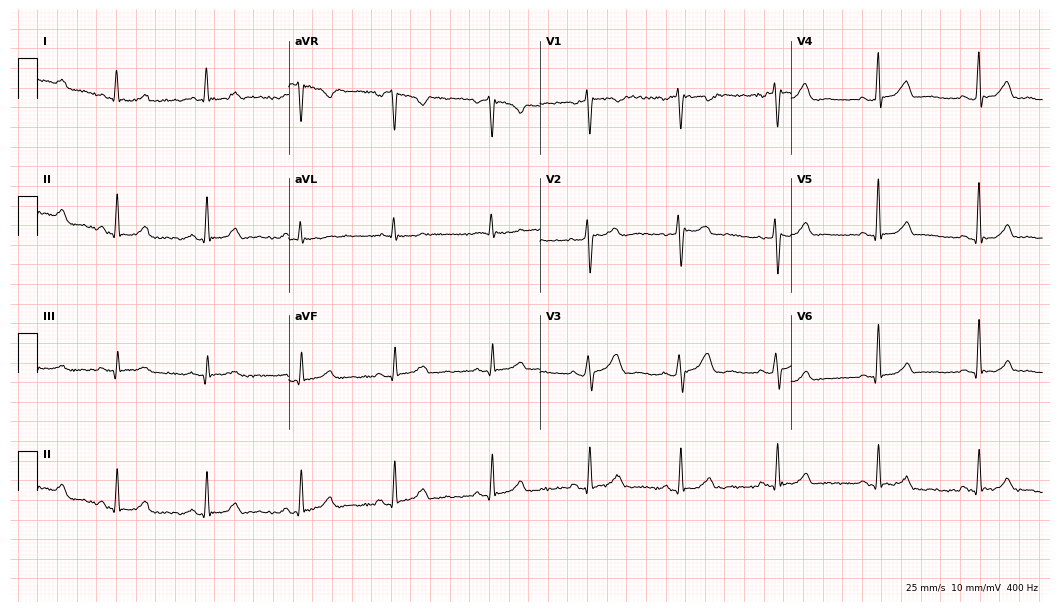
Resting 12-lead electrocardiogram (10.2-second recording at 400 Hz). Patient: a woman, 35 years old. Read as a normal ECG.